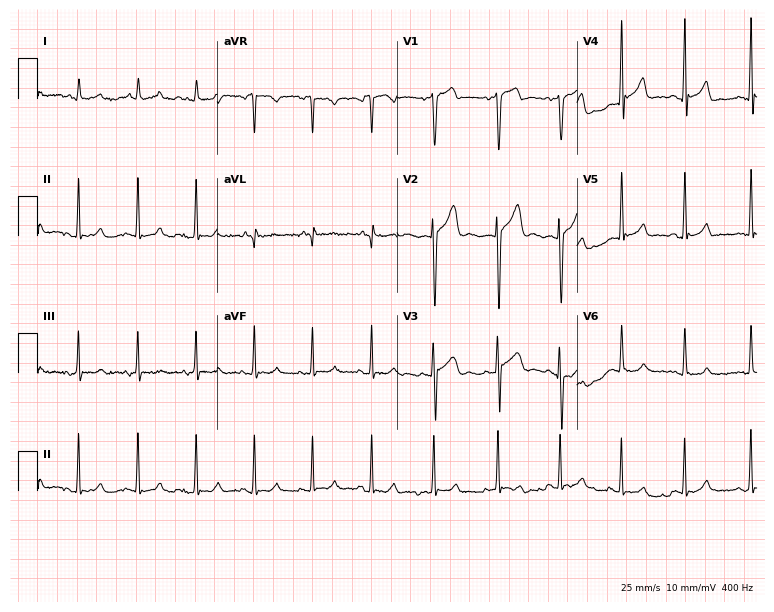
ECG — a male patient, 19 years old. Labelled as a normal ECG.